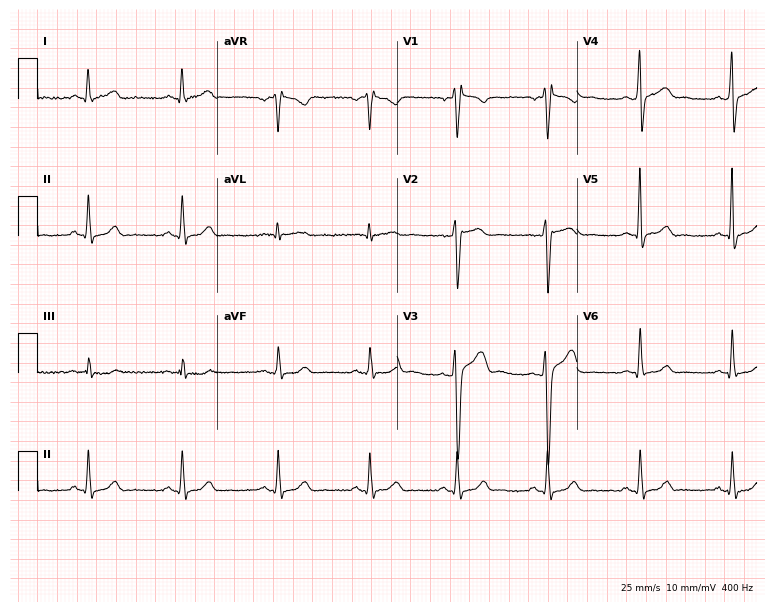
12-lead ECG (7.3-second recording at 400 Hz) from a male patient, 25 years old. Screened for six findings — first-degree AV block, right bundle branch block, left bundle branch block, sinus bradycardia, atrial fibrillation, sinus tachycardia — none is recorded.